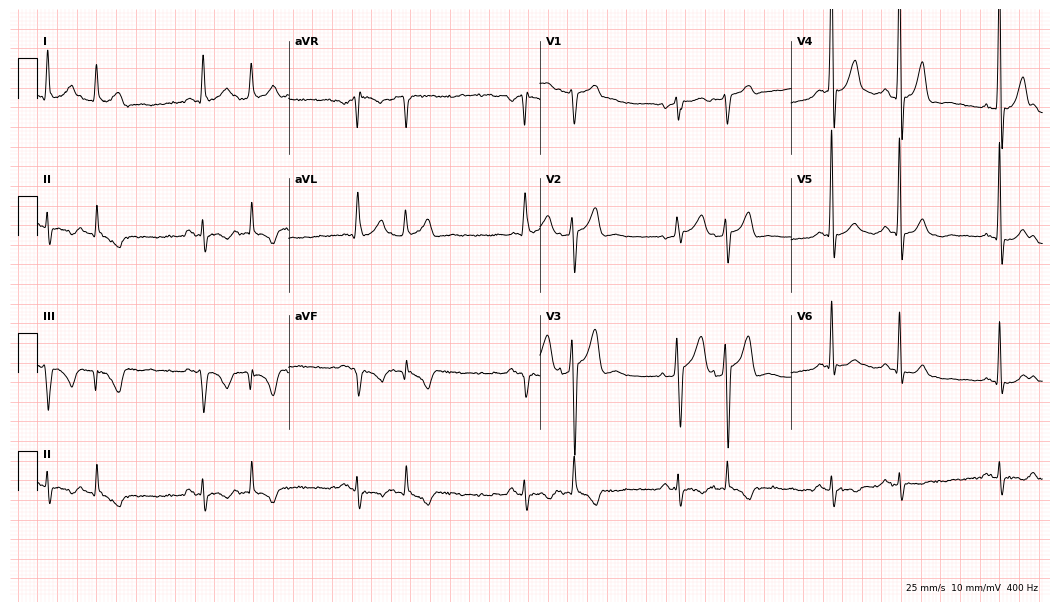
12-lead ECG from a man, 72 years old (10.2-second recording at 400 Hz). No first-degree AV block, right bundle branch block, left bundle branch block, sinus bradycardia, atrial fibrillation or sinus tachycardia recorded for this tracing.